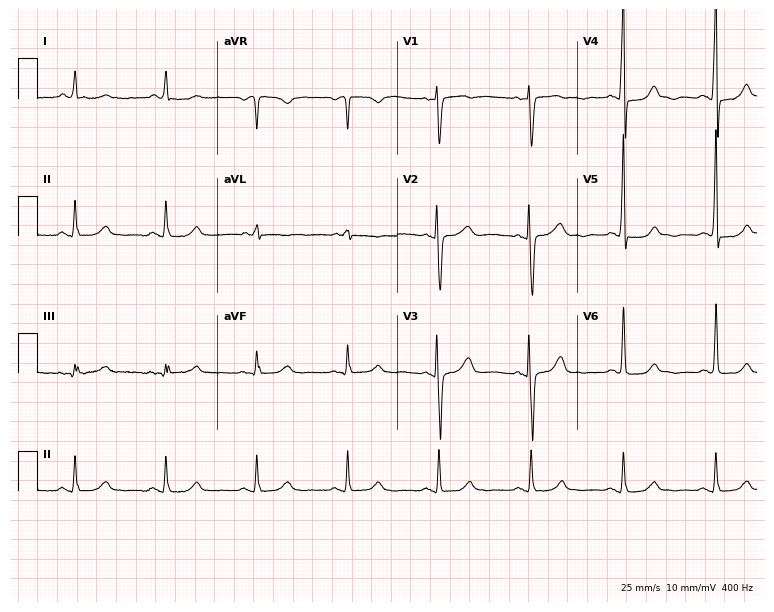
Standard 12-lead ECG recorded from an 80-year-old male (7.3-second recording at 400 Hz). None of these six findings is recorded: first-degree AV block, right bundle branch block, left bundle branch block, sinus bradycardia, atrial fibrillation, sinus tachycardia.